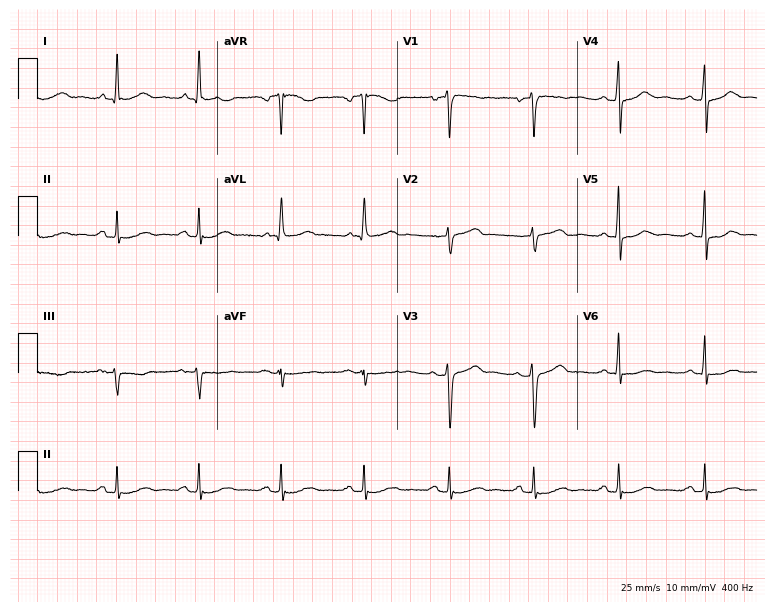
Electrocardiogram (7.3-second recording at 400 Hz), a female patient, 57 years old. Overall reading on record: normal ECG.